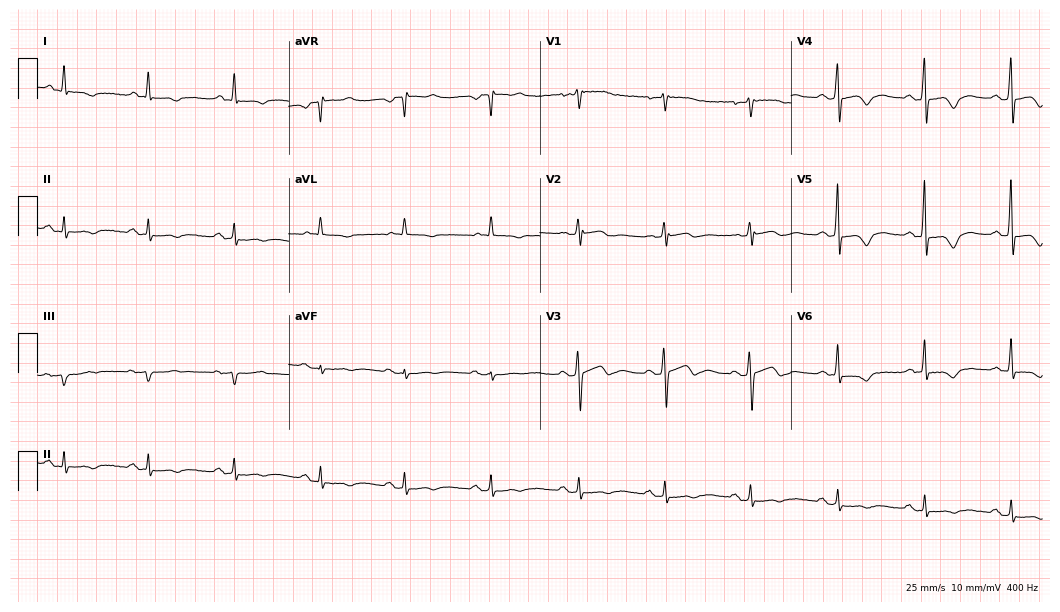
Resting 12-lead electrocardiogram. Patient: a 55-year-old female. None of these six findings is recorded: first-degree AV block, right bundle branch block, left bundle branch block, sinus bradycardia, atrial fibrillation, sinus tachycardia. Only these six findings were labelled.